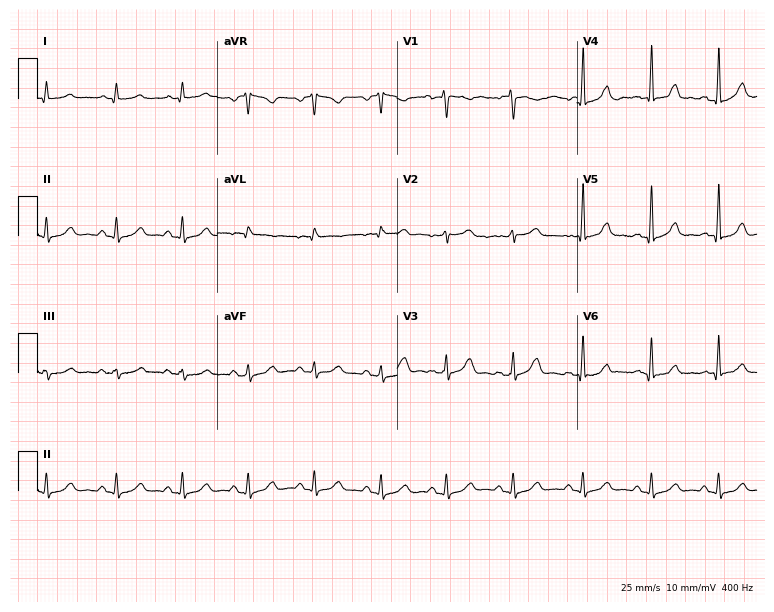
12-lead ECG from a woman, 39 years old (7.3-second recording at 400 Hz). Recorded interpretation: within normal limits.